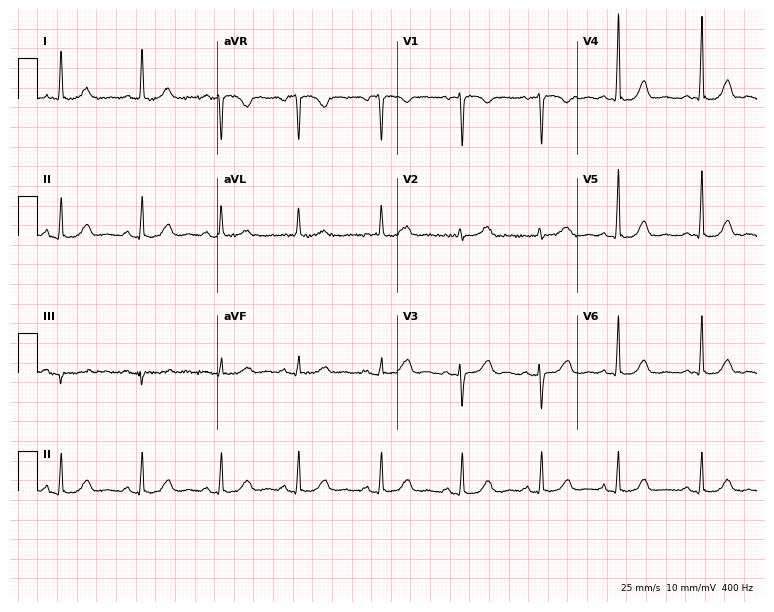
Resting 12-lead electrocardiogram (7.3-second recording at 400 Hz). Patient: a woman, 84 years old. Read as a normal ECG.